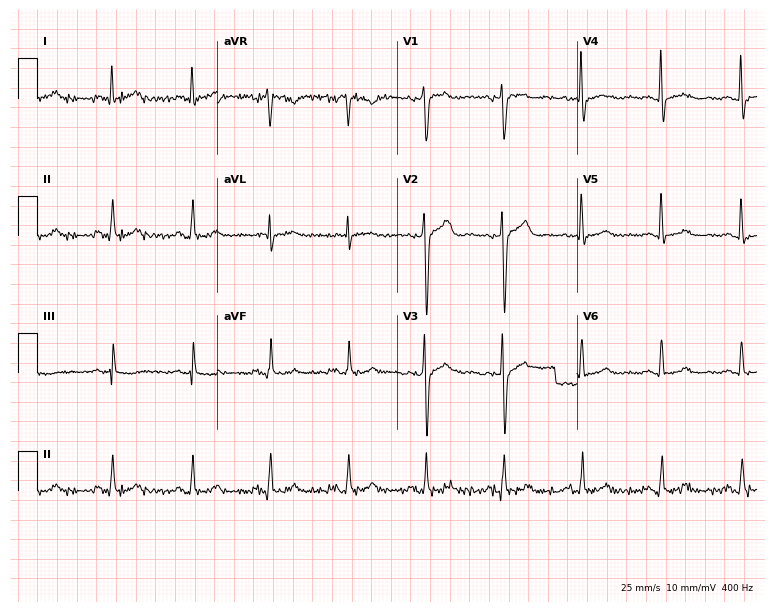
12-lead ECG (7.3-second recording at 400 Hz) from a 53-year-old male. Screened for six findings — first-degree AV block, right bundle branch block, left bundle branch block, sinus bradycardia, atrial fibrillation, sinus tachycardia — none is recorded. Other findings, if any, are not listed.